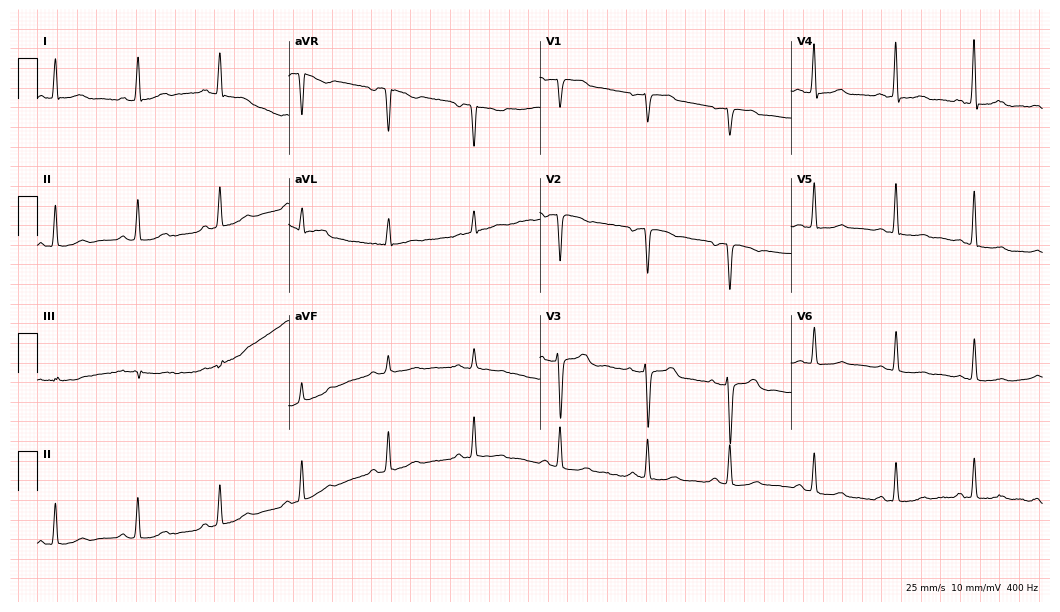
Electrocardiogram (10.2-second recording at 400 Hz), a 48-year-old woman. Of the six screened findings (first-degree AV block, right bundle branch block (RBBB), left bundle branch block (LBBB), sinus bradycardia, atrial fibrillation (AF), sinus tachycardia), none is recorded.